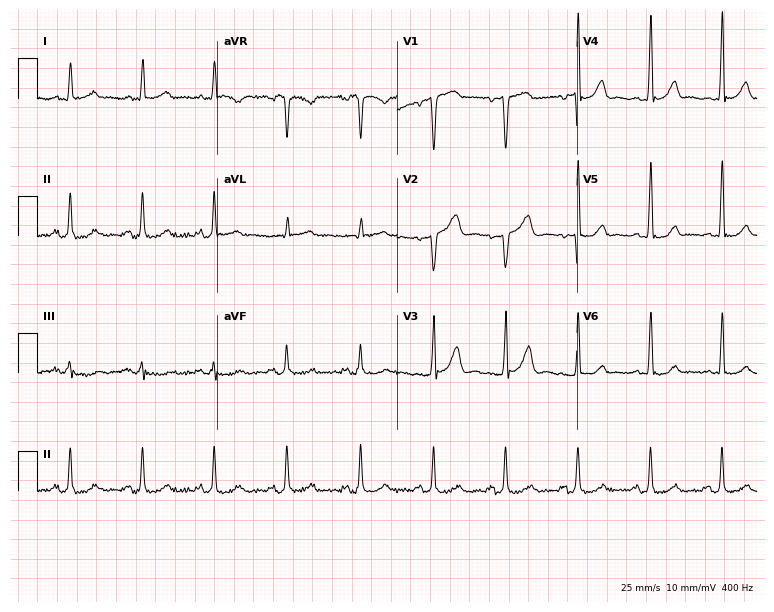
ECG — a 52-year-old female. Labelled as a normal ECG.